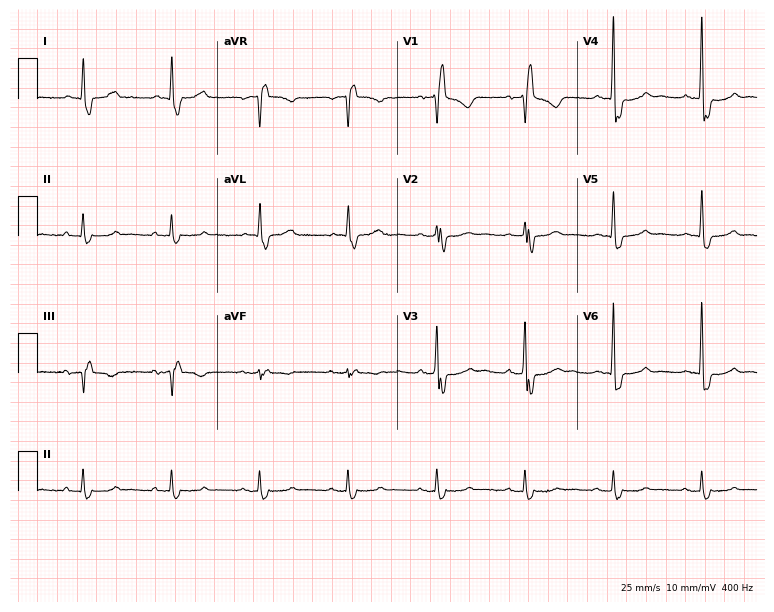
Electrocardiogram, a 74-year-old man. Interpretation includes right bundle branch block (RBBB).